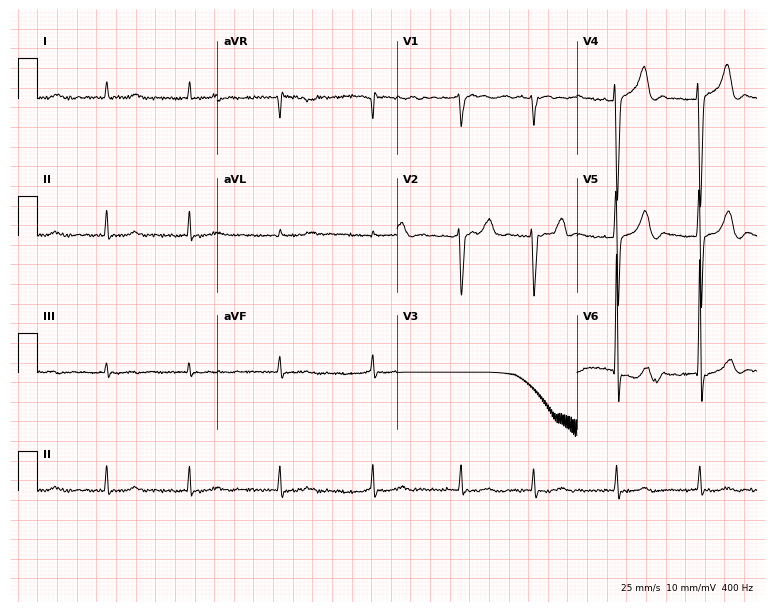
ECG — a male, 85 years old. Findings include atrial fibrillation.